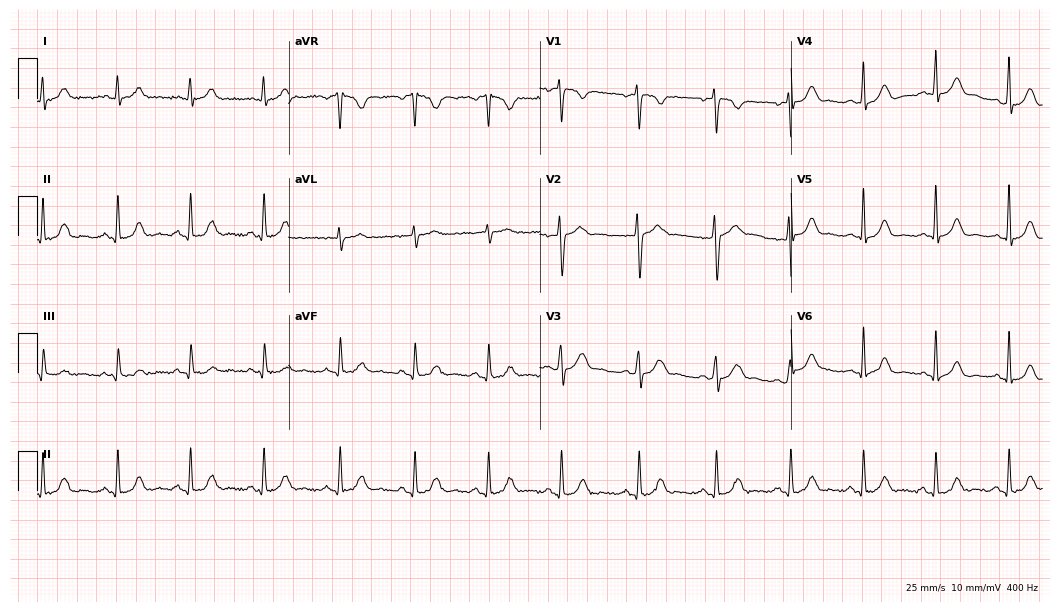
ECG — a 33-year-old woman. Labelled as a normal ECG.